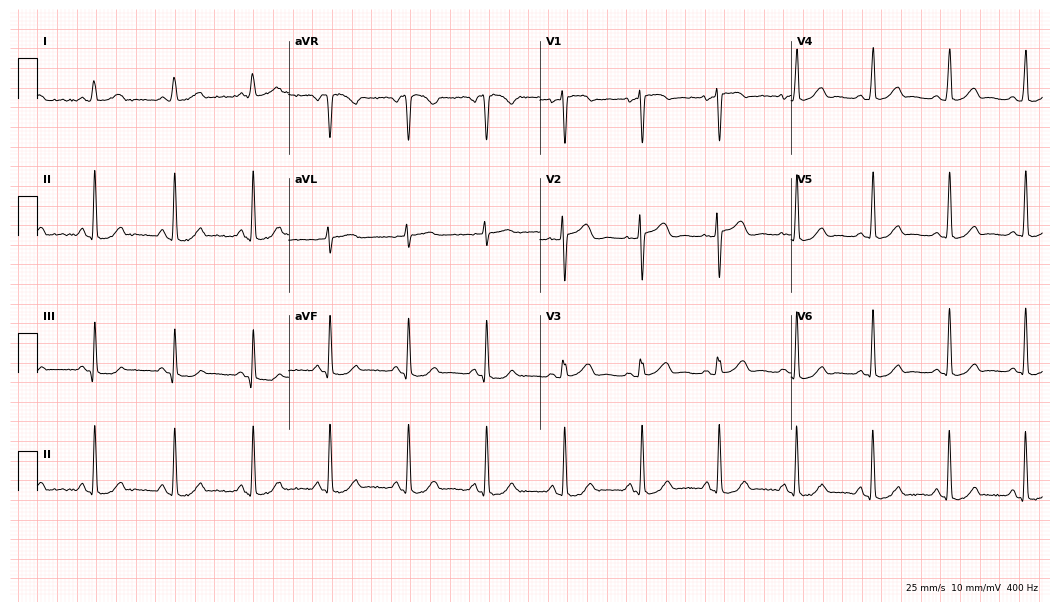
12-lead ECG (10.2-second recording at 400 Hz) from a 37-year-old woman. Labelled as a normal ECG.